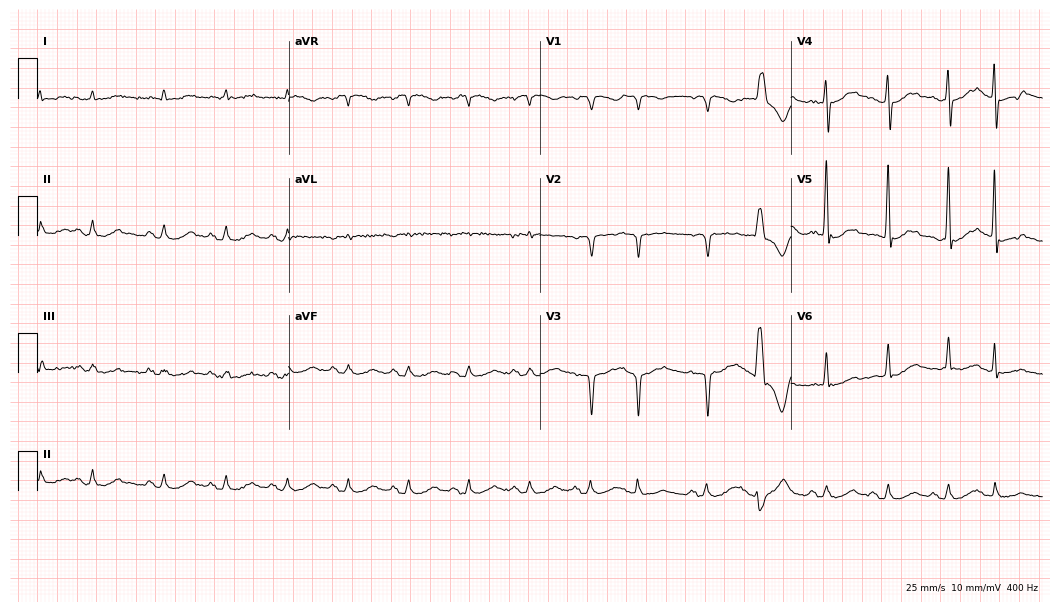
Electrocardiogram, a man, 73 years old. Of the six screened findings (first-degree AV block, right bundle branch block, left bundle branch block, sinus bradycardia, atrial fibrillation, sinus tachycardia), none is recorded. Other findings, if any, are not listed.